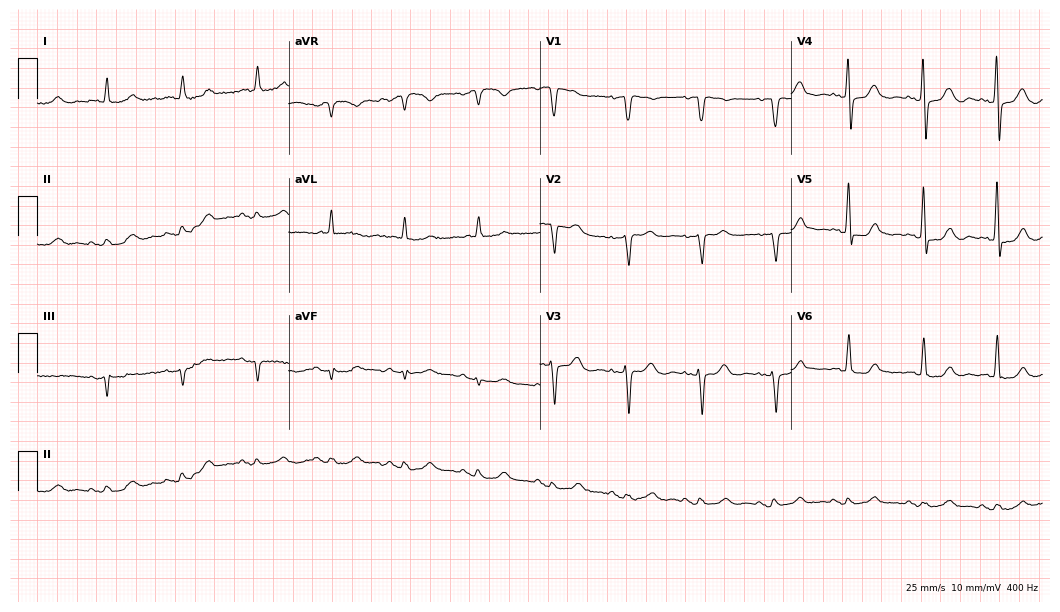
ECG (10.2-second recording at 400 Hz) — an 83-year-old male patient. Screened for six findings — first-degree AV block, right bundle branch block (RBBB), left bundle branch block (LBBB), sinus bradycardia, atrial fibrillation (AF), sinus tachycardia — none is recorded. Findings outside these six are not listed.